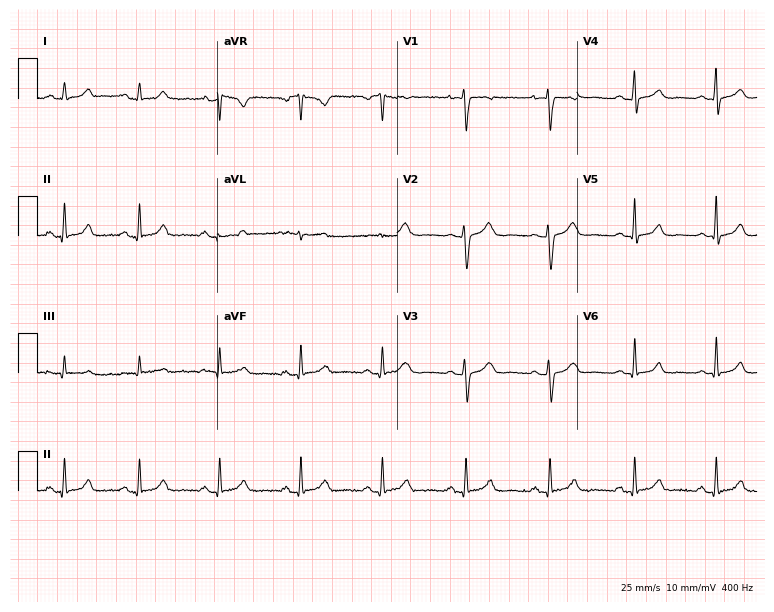
12-lead ECG from a 28-year-old female. Screened for six findings — first-degree AV block, right bundle branch block, left bundle branch block, sinus bradycardia, atrial fibrillation, sinus tachycardia — none is recorded.